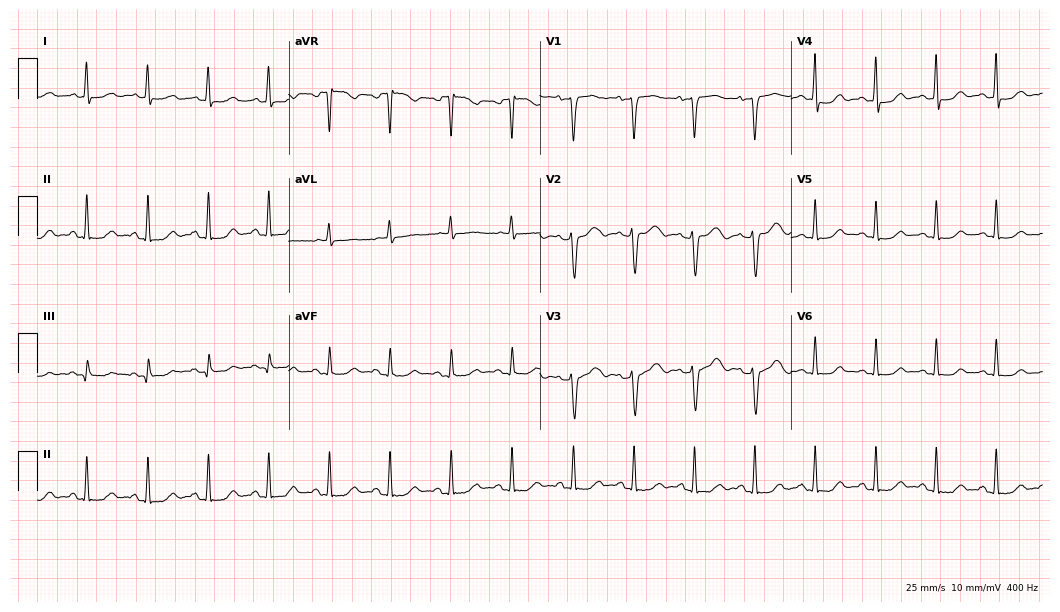
Resting 12-lead electrocardiogram (10.2-second recording at 400 Hz). Patient: a female, 48 years old. Read as a normal ECG.